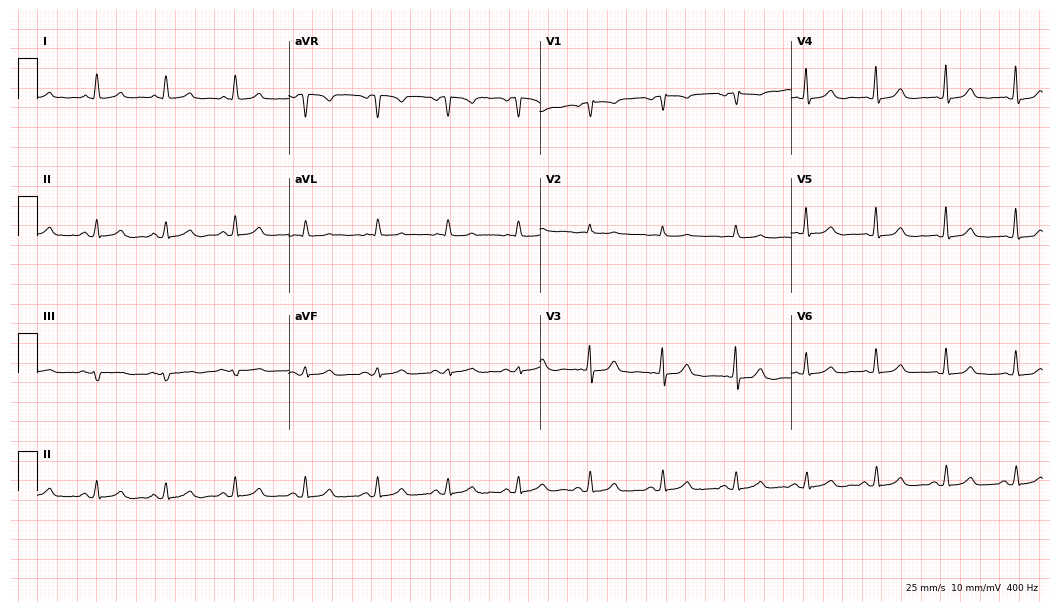
Standard 12-lead ECG recorded from a man, 54 years old. None of these six findings is recorded: first-degree AV block, right bundle branch block, left bundle branch block, sinus bradycardia, atrial fibrillation, sinus tachycardia. Findings outside these six are not listed.